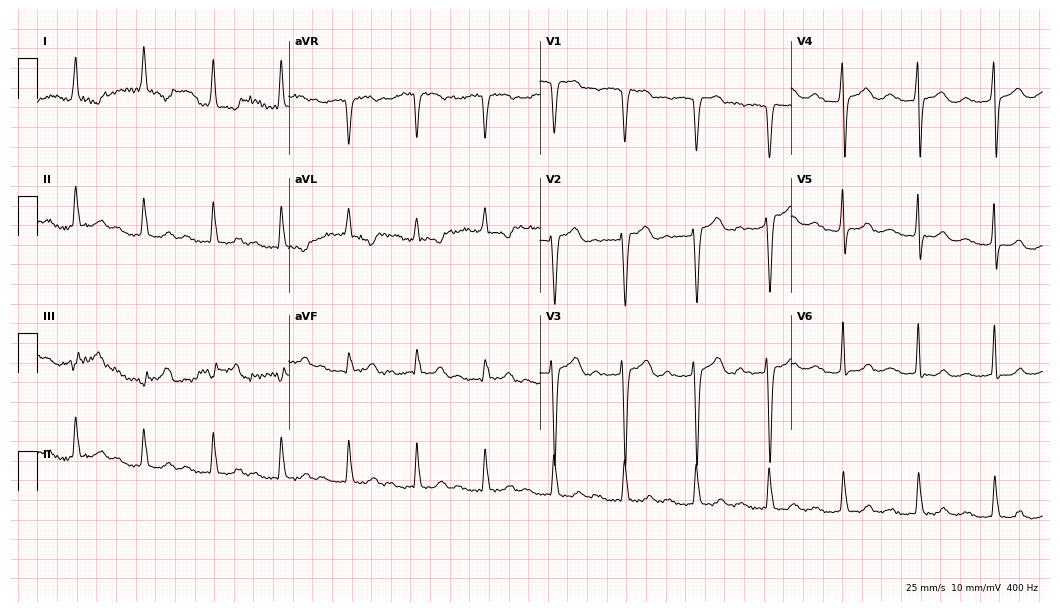
12-lead ECG from a 56-year-old female (10.2-second recording at 400 Hz). Shows first-degree AV block.